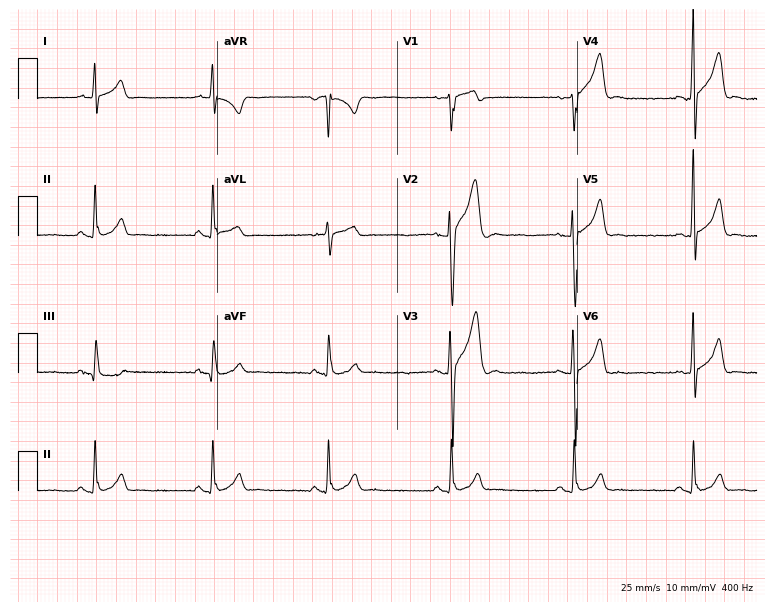
ECG (7.3-second recording at 400 Hz) — a male, 29 years old. Findings include sinus bradycardia (a sinus rate of 50 beats per minute or less).